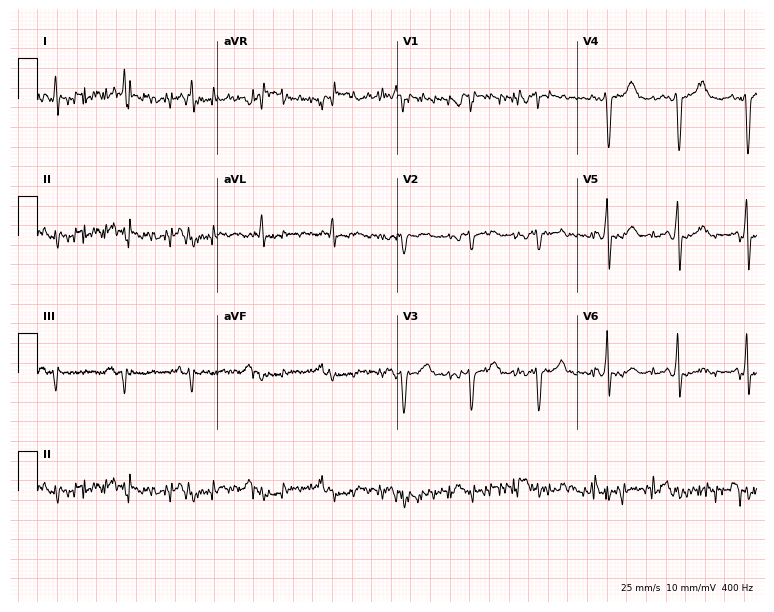
Standard 12-lead ECG recorded from a man, 73 years old. None of these six findings is recorded: first-degree AV block, right bundle branch block, left bundle branch block, sinus bradycardia, atrial fibrillation, sinus tachycardia.